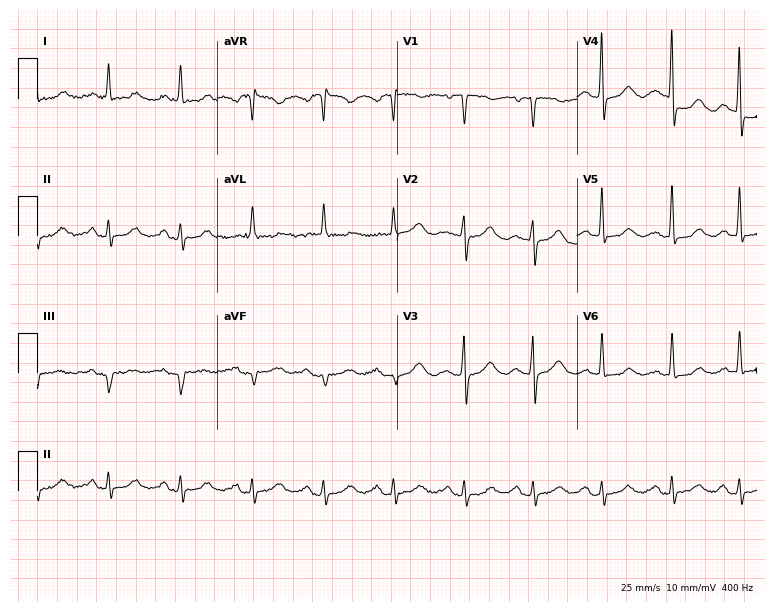
Electrocardiogram (7.3-second recording at 400 Hz), a 76-year-old female. Of the six screened findings (first-degree AV block, right bundle branch block (RBBB), left bundle branch block (LBBB), sinus bradycardia, atrial fibrillation (AF), sinus tachycardia), none is recorded. Other findings, if any, are not listed.